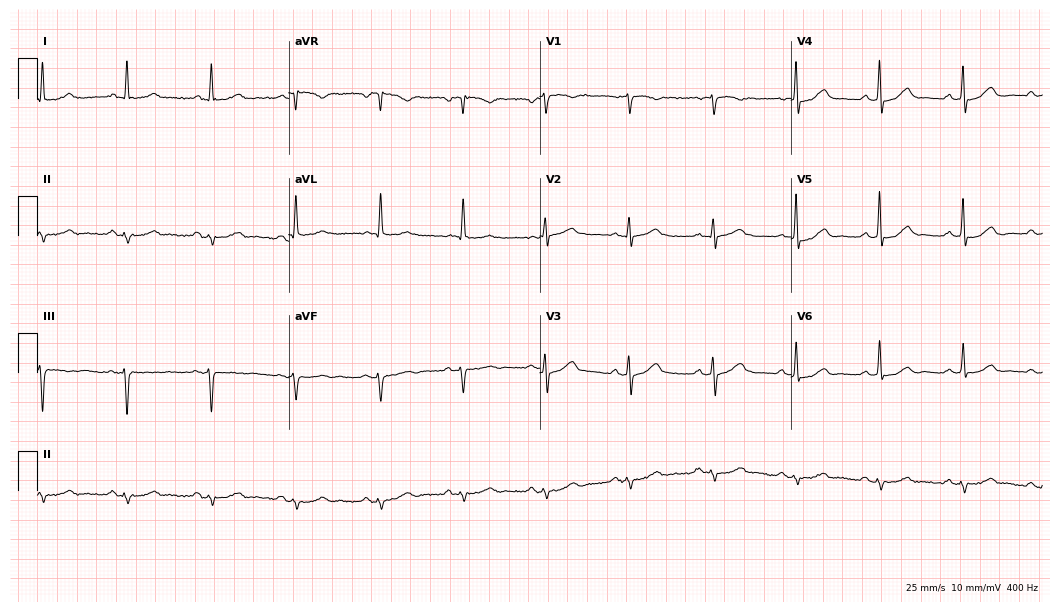
ECG (10.2-second recording at 400 Hz) — an 85-year-old man. Screened for six findings — first-degree AV block, right bundle branch block, left bundle branch block, sinus bradycardia, atrial fibrillation, sinus tachycardia — none is recorded.